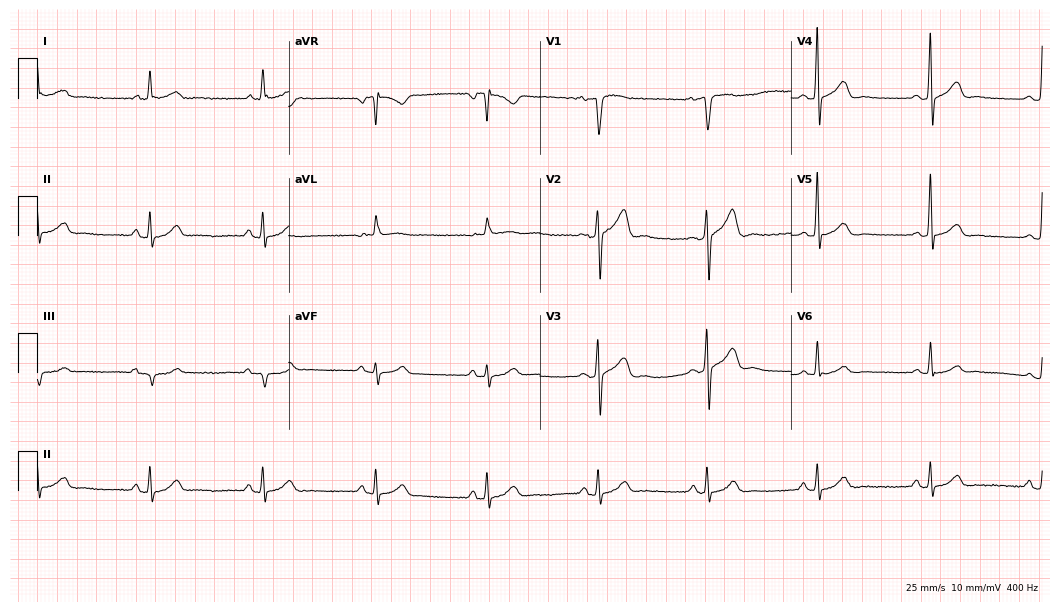
12-lead ECG from a male, 71 years old. Screened for six findings — first-degree AV block, right bundle branch block, left bundle branch block, sinus bradycardia, atrial fibrillation, sinus tachycardia — none is recorded.